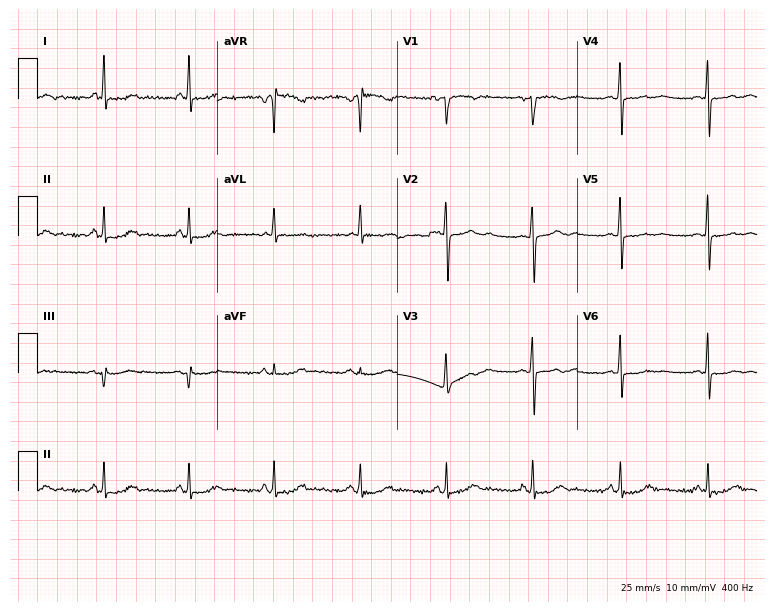
Standard 12-lead ECG recorded from a female patient, 41 years old. None of these six findings is recorded: first-degree AV block, right bundle branch block, left bundle branch block, sinus bradycardia, atrial fibrillation, sinus tachycardia. Findings outside these six are not listed.